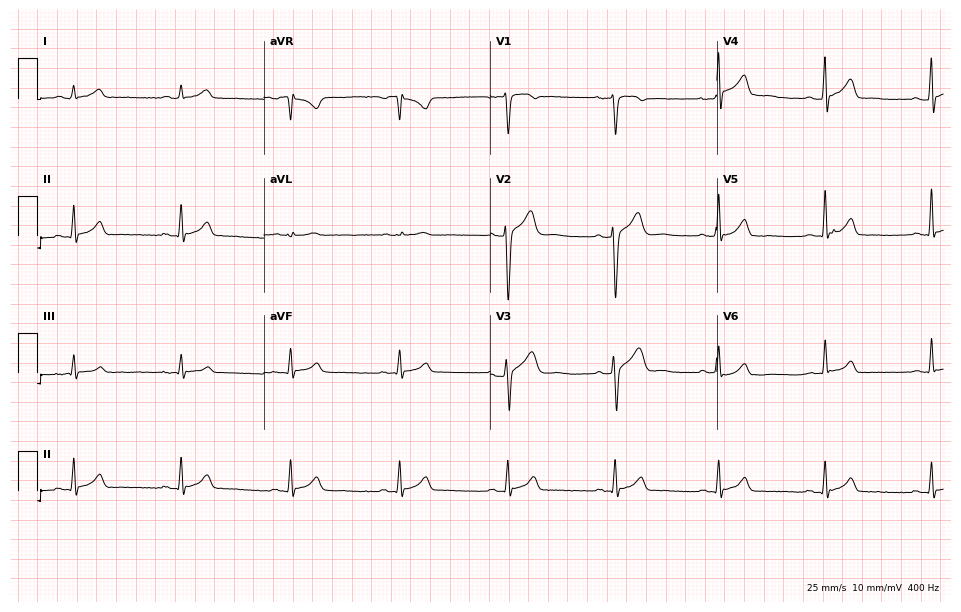
Resting 12-lead electrocardiogram. Patient: a 38-year-old man. Read as a normal ECG.